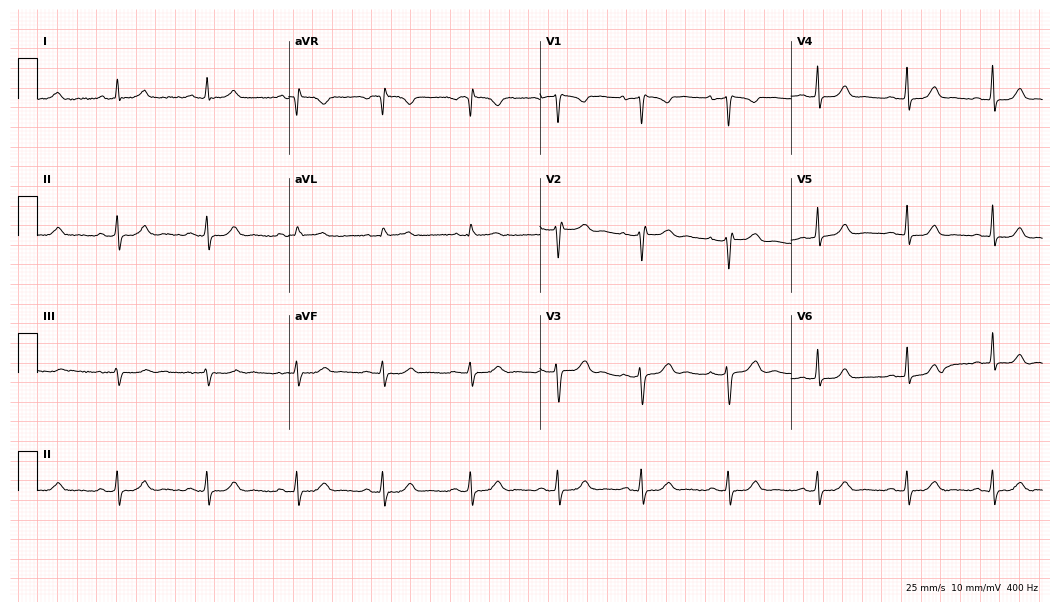
ECG — a female patient, 33 years old. Screened for six findings — first-degree AV block, right bundle branch block, left bundle branch block, sinus bradycardia, atrial fibrillation, sinus tachycardia — none is recorded. Other findings, if any, are not listed.